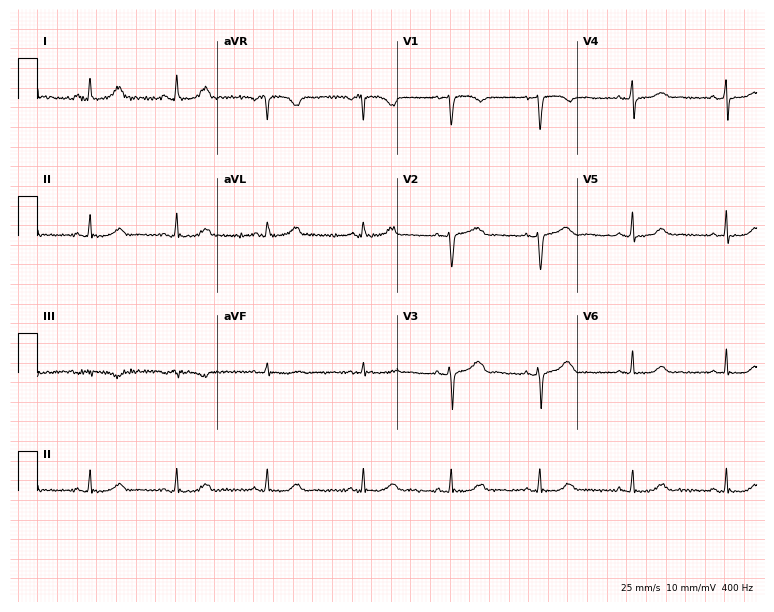
Resting 12-lead electrocardiogram (7.3-second recording at 400 Hz). Patient: a 54-year-old female. Read as a normal ECG.